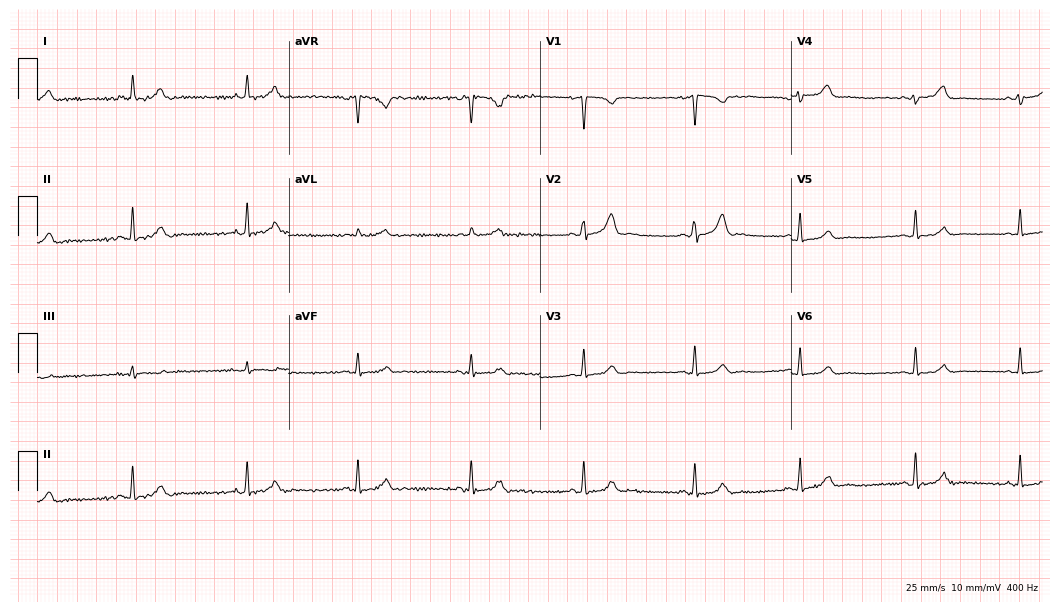
Electrocardiogram, a 29-year-old woman. Overall reading on record: normal ECG.